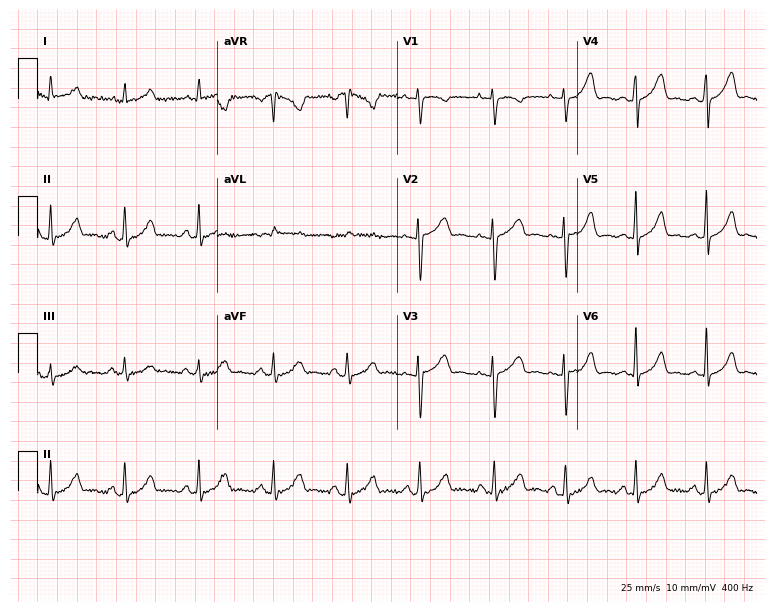
ECG (7.3-second recording at 400 Hz) — a woman, 21 years old. Labelled as a normal ECG.